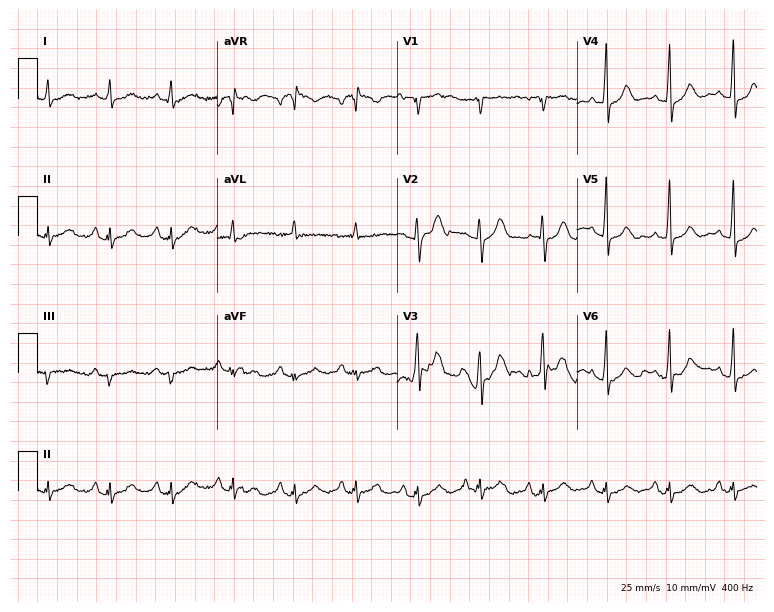
Standard 12-lead ECG recorded from an 82-year-old man. Read as a normal ECG.